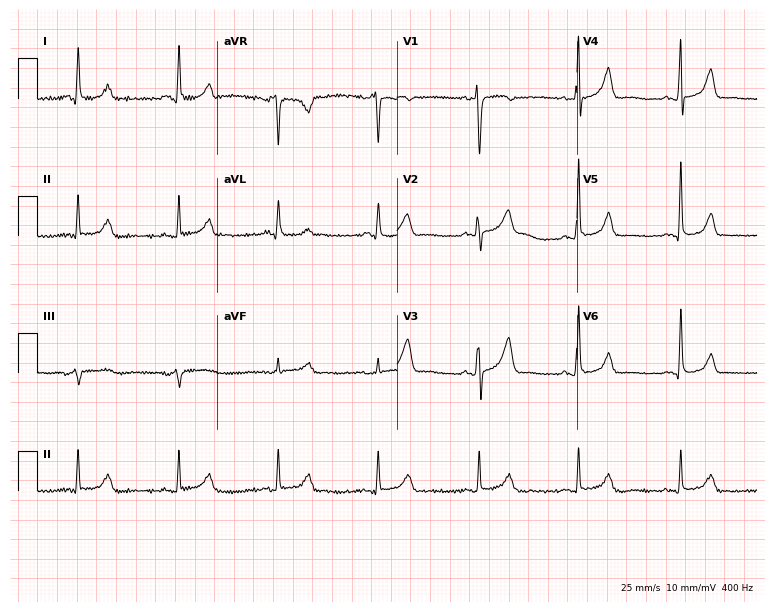
12-lead ECG (7.3-second recording at 400 Hz) from a 57-year-old woman. Screened for six findings — first-degree AV block, right bundle branch block, left bundle branch block, sinus bradycardia, atrial fibrillation, sinus tachycardia — none is recorded.